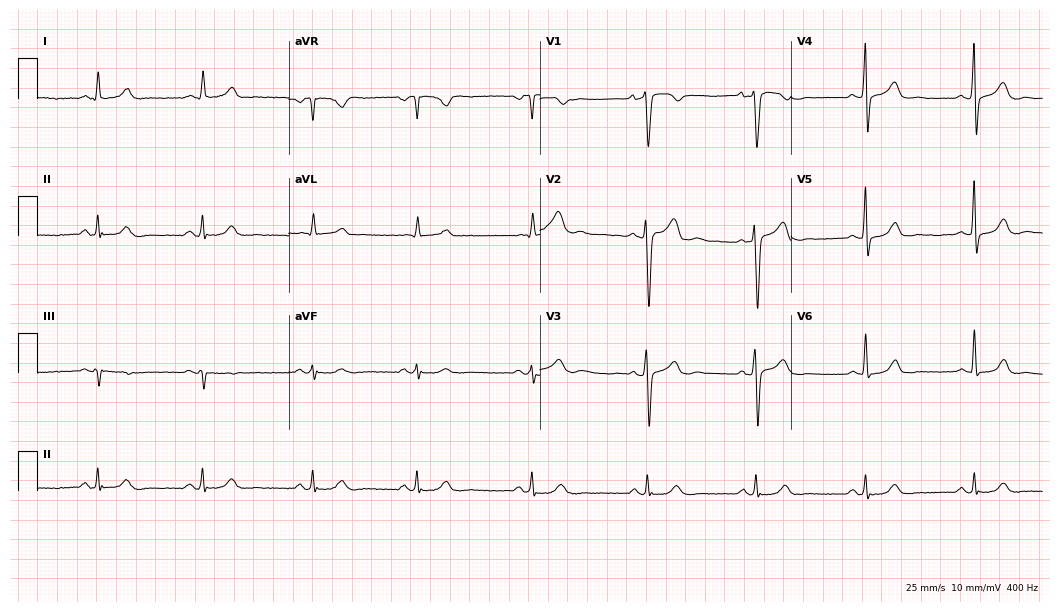
12-lead ECG (10.2-second recording at 400 Hz) from a 51-year-old male. Labelled as a normal ECG.